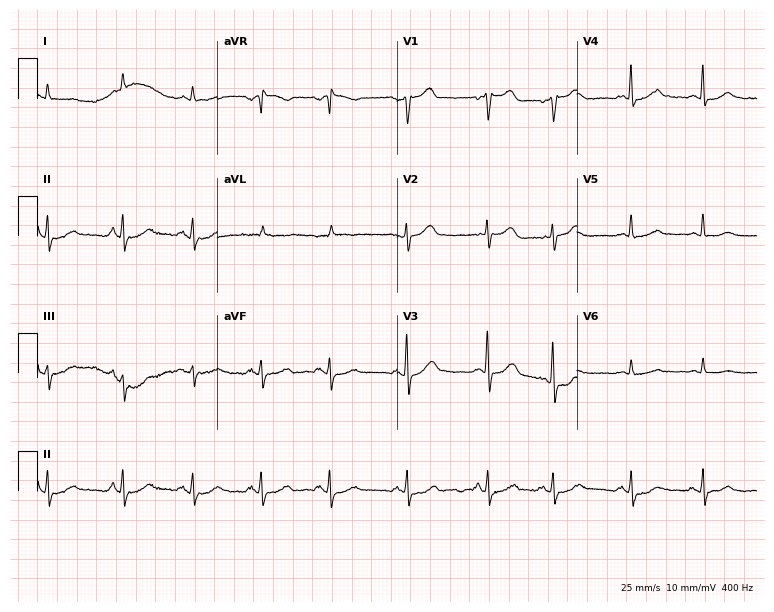
ECG — a male, 83 years old. Screened for six findings — first-degree AV block, right bundle branch block (RBBB), left bundle branch block (LBBB), sinus bradycardia, atrial fibrillation (AF), sinus tachycardia — none is recorded.